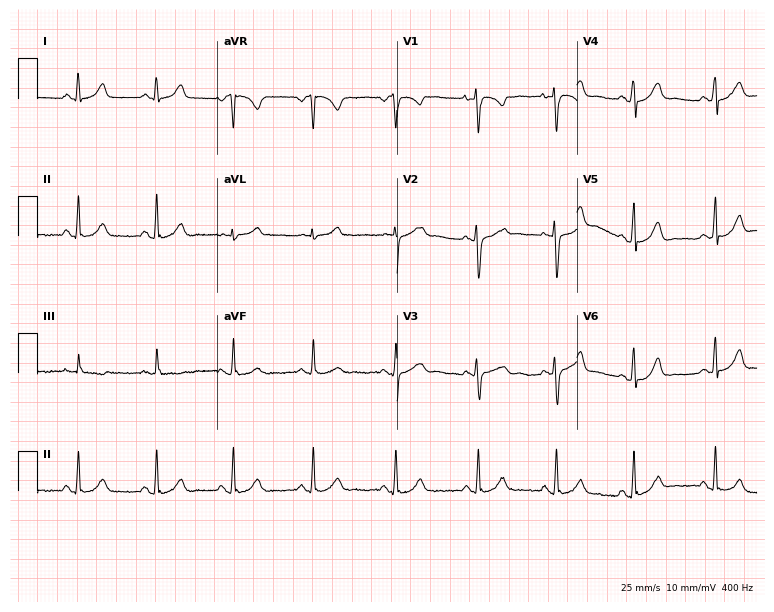
ECG — a female, 20 years old. Labelled as a normal ECG.